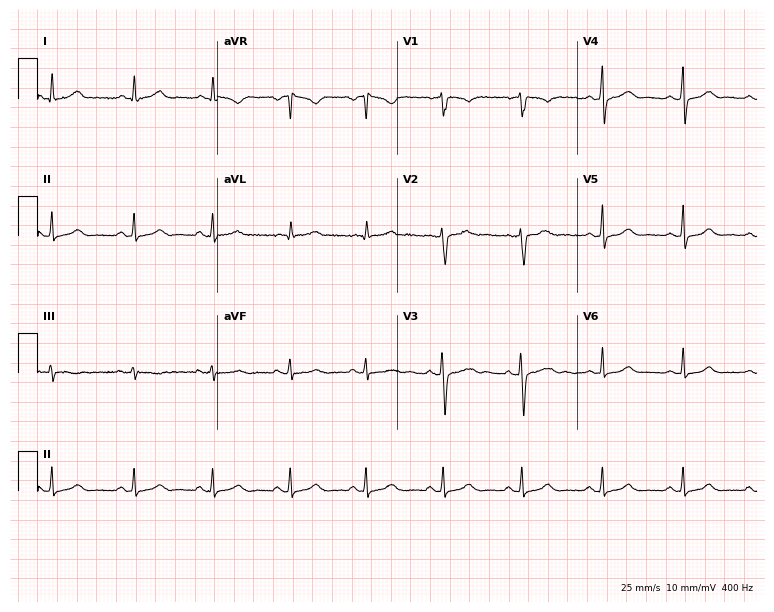
ECG — a 26-year-old female. Labelled as a normal ECG.